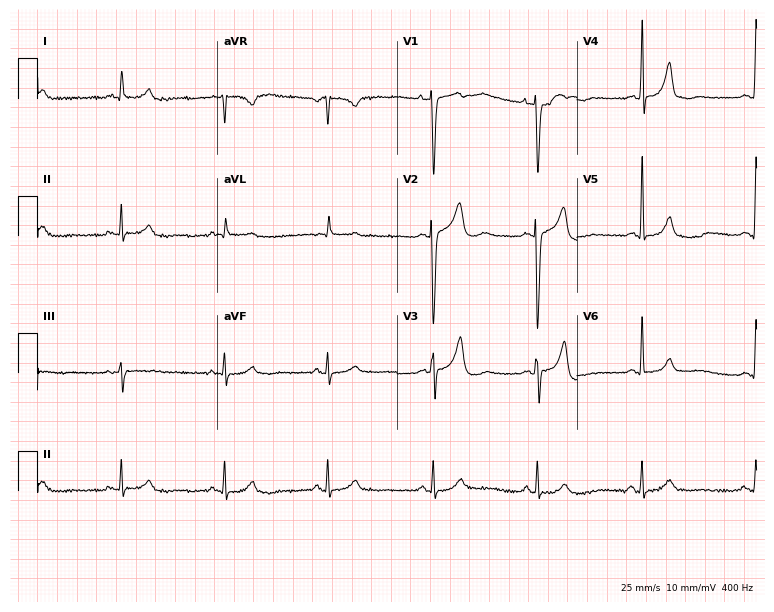
12-lead ECG from a male, 77 years old. Screened for six findings — first-degree AV block, right bundle branch block, left bundle branch block, sinus bradycardia, atrial fibrillation, sinus tachycardia — none is recorded.